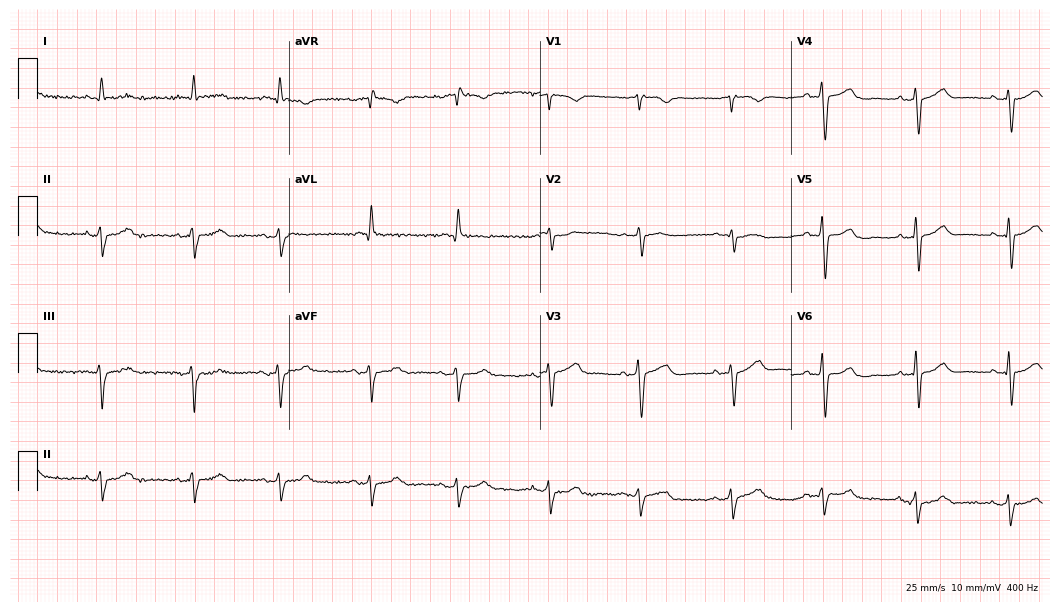
Electrocardiogram (10.2-second recording at 400 Hz), a male patient, 77 years old. Of the six screened findings (first-degree AV block, right bundle branch block (RBBB), left bundle branch block (LBBB), sinus bradycardia, atrial fibrillation (AF), sinus tachycardia), none is recorded. Other findings, if any, are not listed.